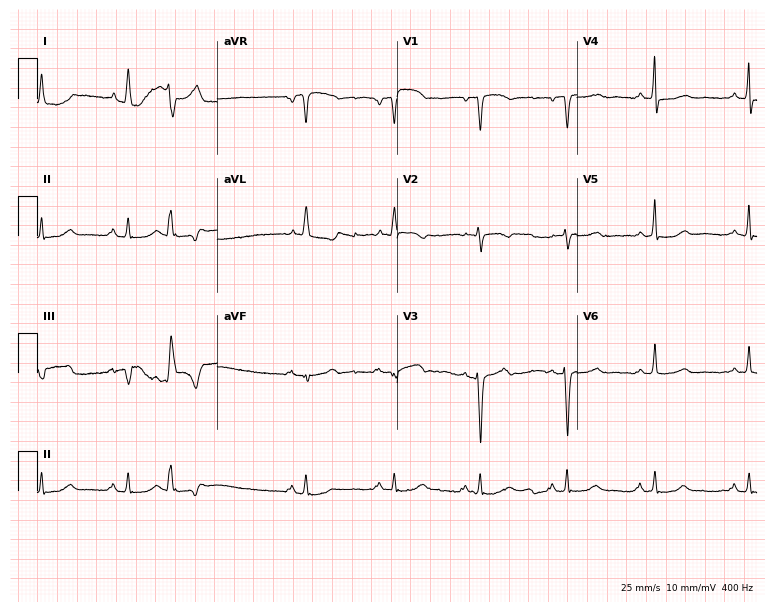
ECG (7.3-second recording at 400 Hz) — a 70-year-old female. Screened for six findings — first-degree AV block, right bundle branch block (RBBB), left bundle branch block (LBBB), sinus bradycardia, atrial fibrillation (AF), sinus tachycardia — none is recorded.